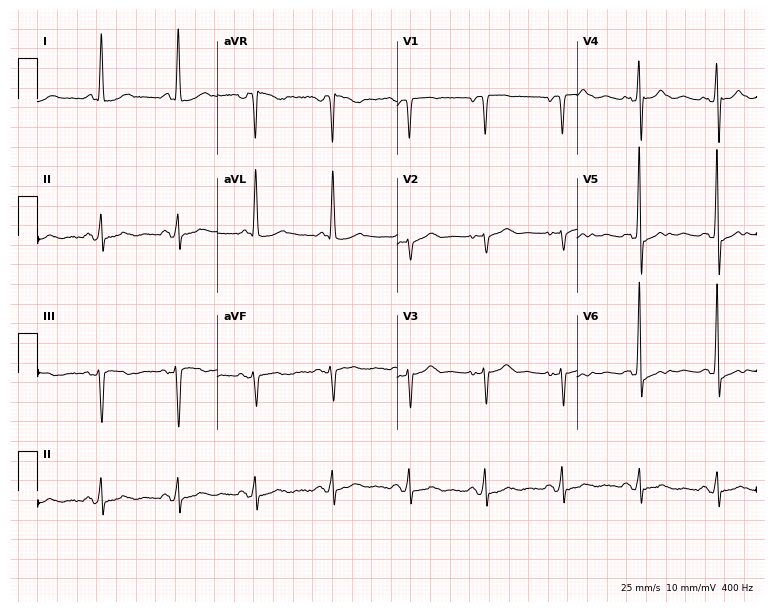
12-lead ECG (7.3-second recording at 400 Hz) from a 58-year-old woman. Screened for six findings — first-degree AV block, right bundle branch block, left bundle branch block, sinus bradycardia, atrial fibrillation, sinus tachycardia — none is recorded.